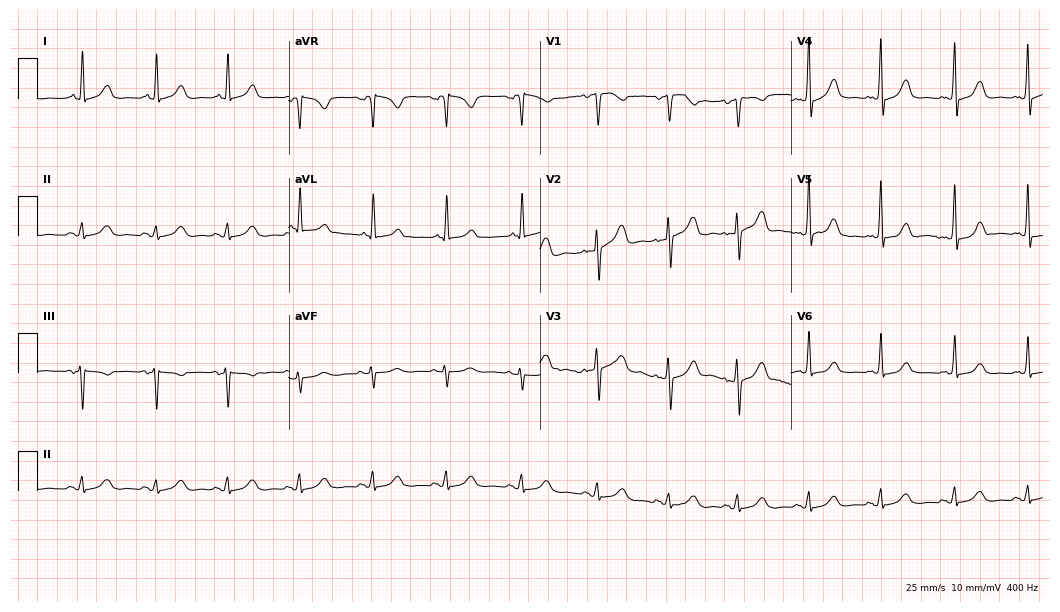
Resting 12-lead electrocardiogram (10.2-second recording at 400 Hz). Patient: a 43-year-old woman. Read as a normal ECG.